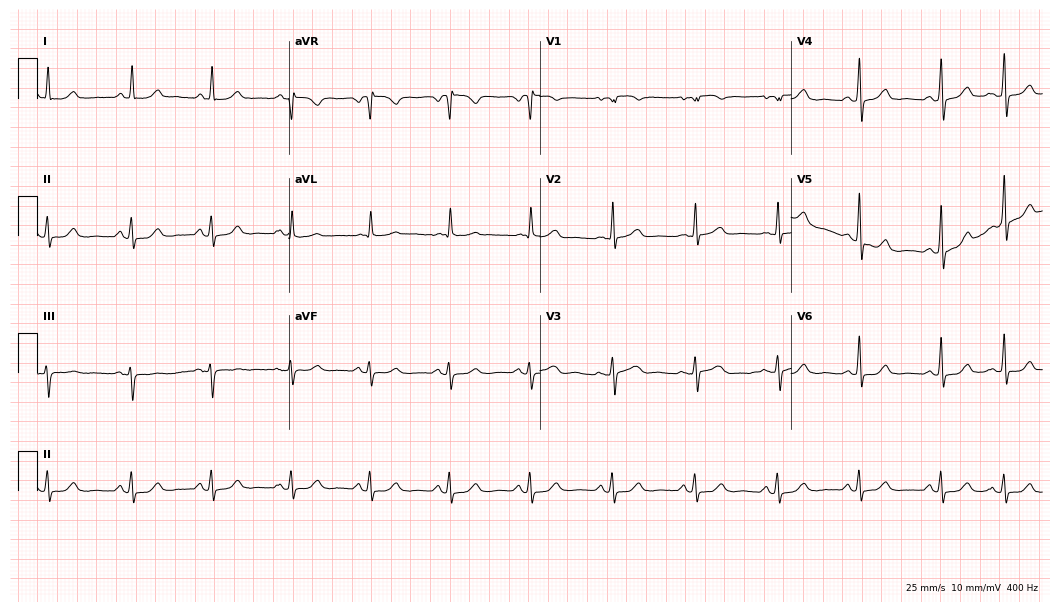
Electrocardiogram, a 69-year-old female. Overall reading on record: normal ECG.